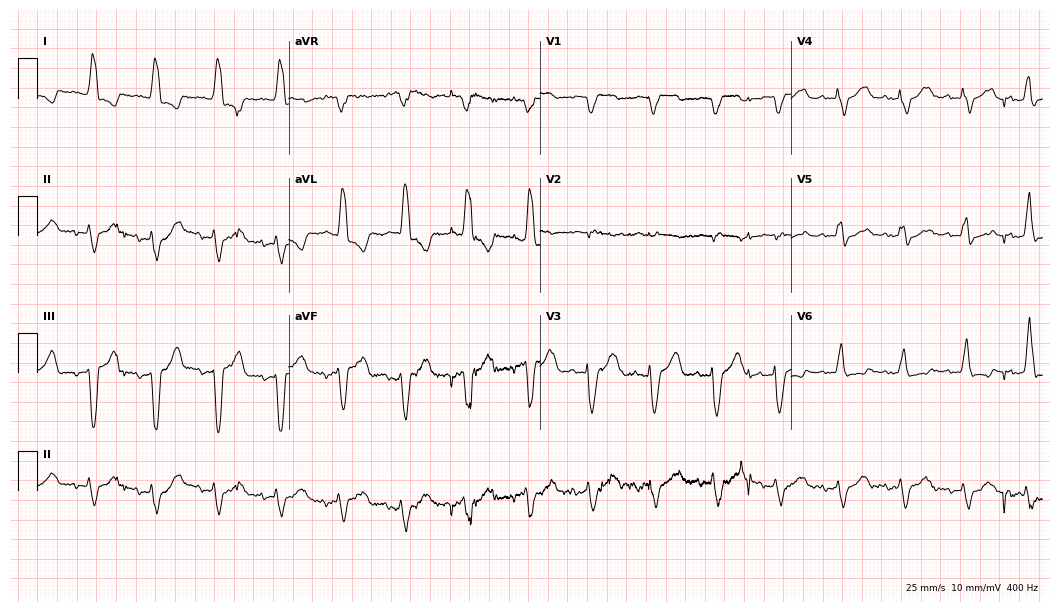
ECG — a female patient, 81 years old. Findings include left bundle branch block (LBBB).